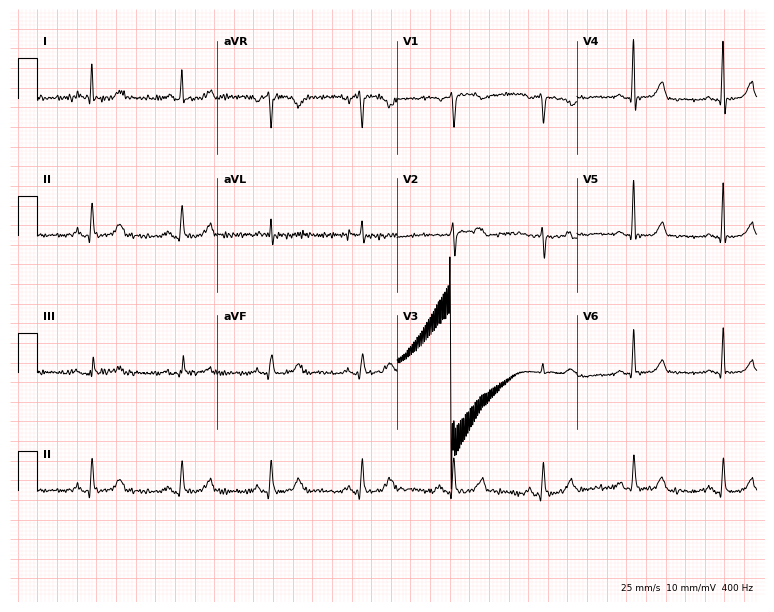
ECG — a female patient, 62 years old. Screened for six findings — first-degree AV block, right bundle branch block, left bundle branch block, sinus bradycardia, atrial fibrillation, sinus tachycardia — none is recorded. Only these six findings were labelled.